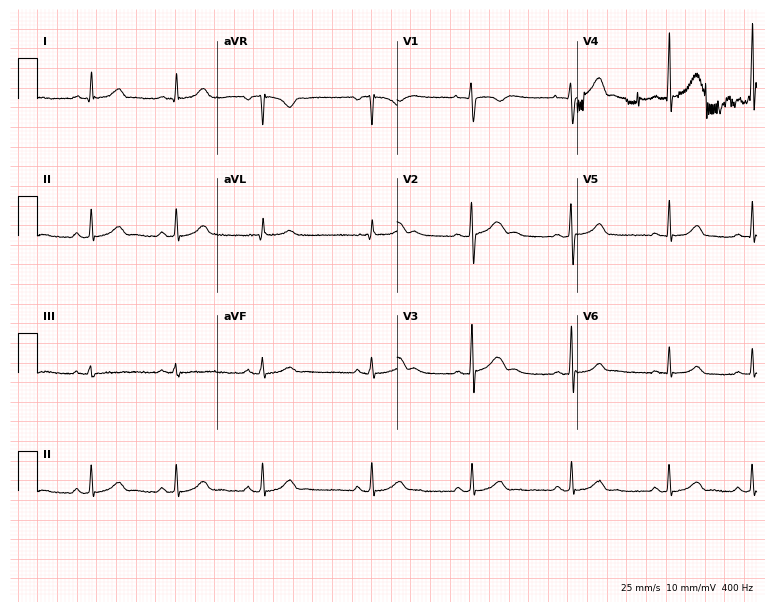
Resting 12-lead electrocardiogram (7.3-second recording at 400 Hz). Patient: a 17-year-old female. Read as a normal ECG.